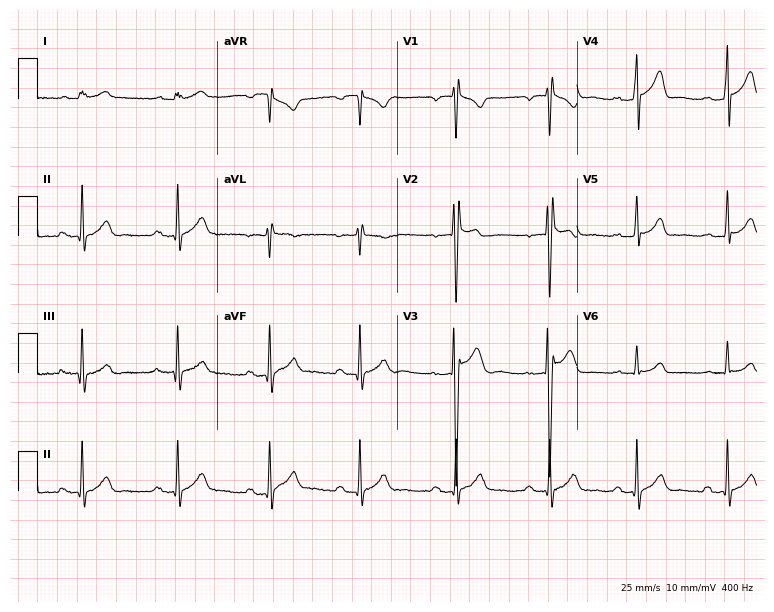
ECG — a man, 27 years old. Screened for six findings — first-degree AV block, right bundle branch block (RBBB), left bundle branch block (LBBB), sinus bradycardia, atrial fibrillation (AF), sinus tachycardia — none is recorded. Findings outside these six are not listed.